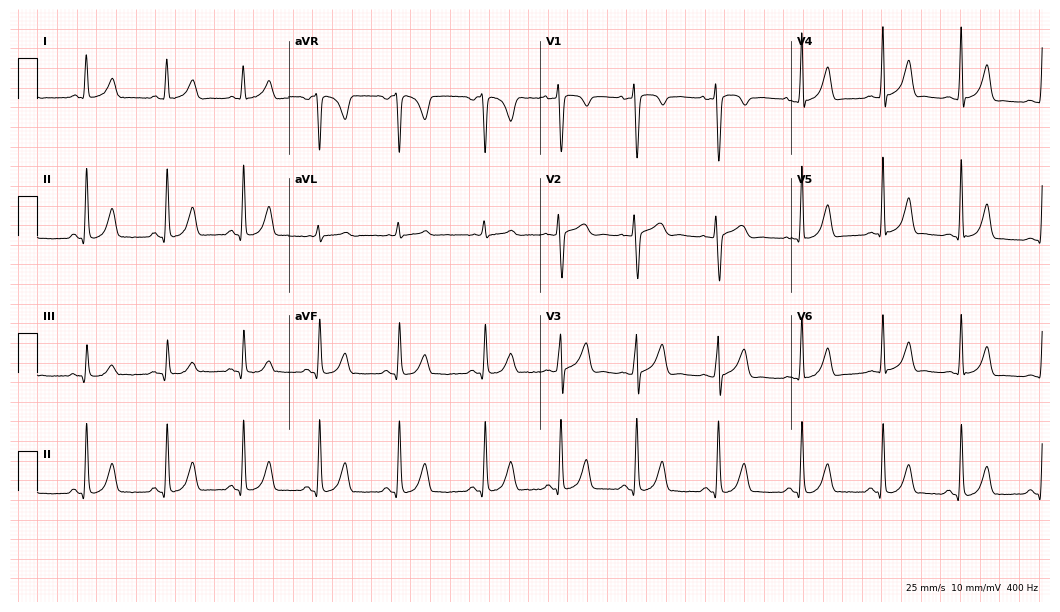
Resting 12-lead electrocardiogram (10.2-second recording at 400 Hz). Patient: a woman, 34 years old. Read as a normal ECG.